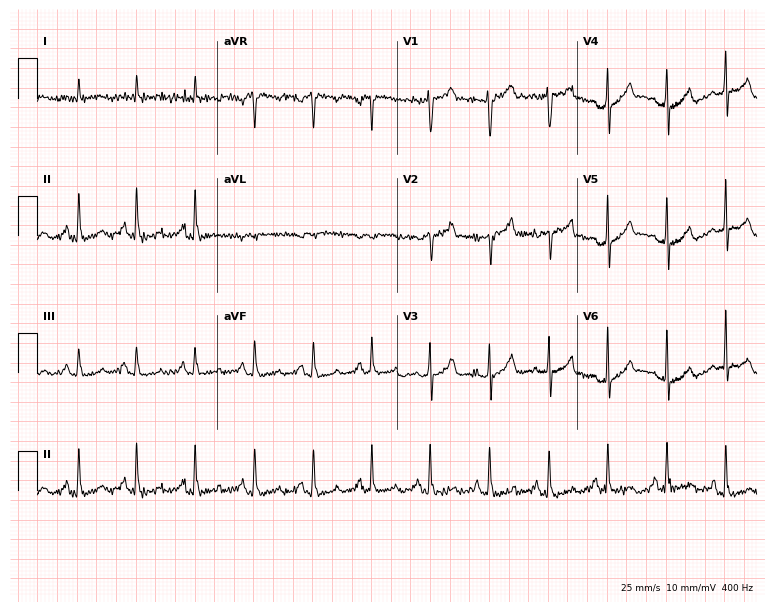
Standard 12-lead ECG recorded from a man, 50 years old. None of these six findings is recorded: first-degree AV block, right bundle branch block (RBBB), left bundle branch block (LBBB), sinus bradycardia, atrial fibrillation (AF), sinus tachycardia.